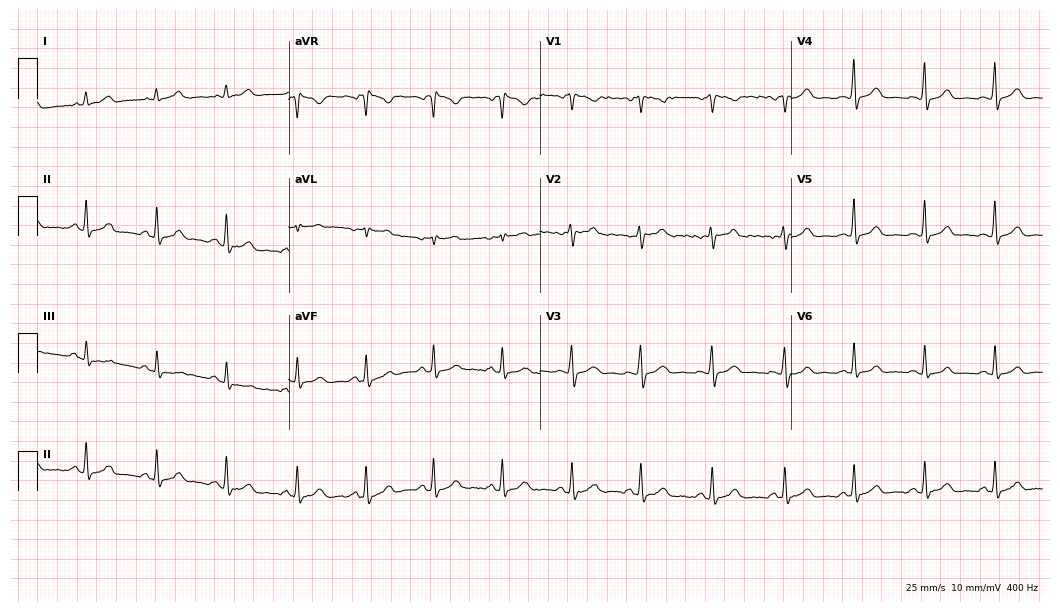
12-lead ECG from a 24-year-old female. Labelled as a normal ECG.